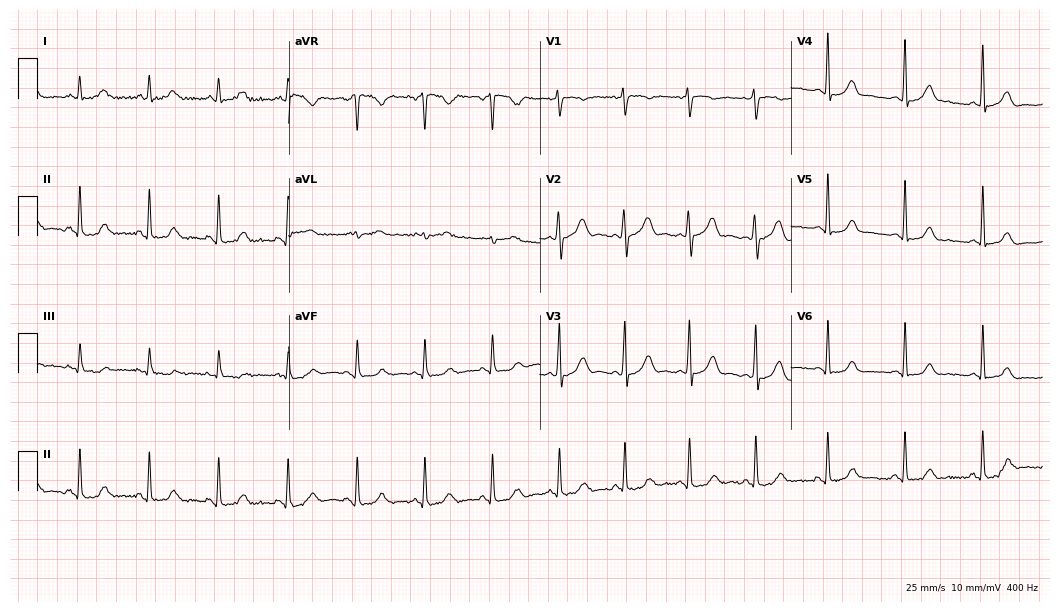
Standard 12-lead ECG recorded from a woman, 33 years old (10.2-second recording at 400 Hz). Read as a normal ECG.